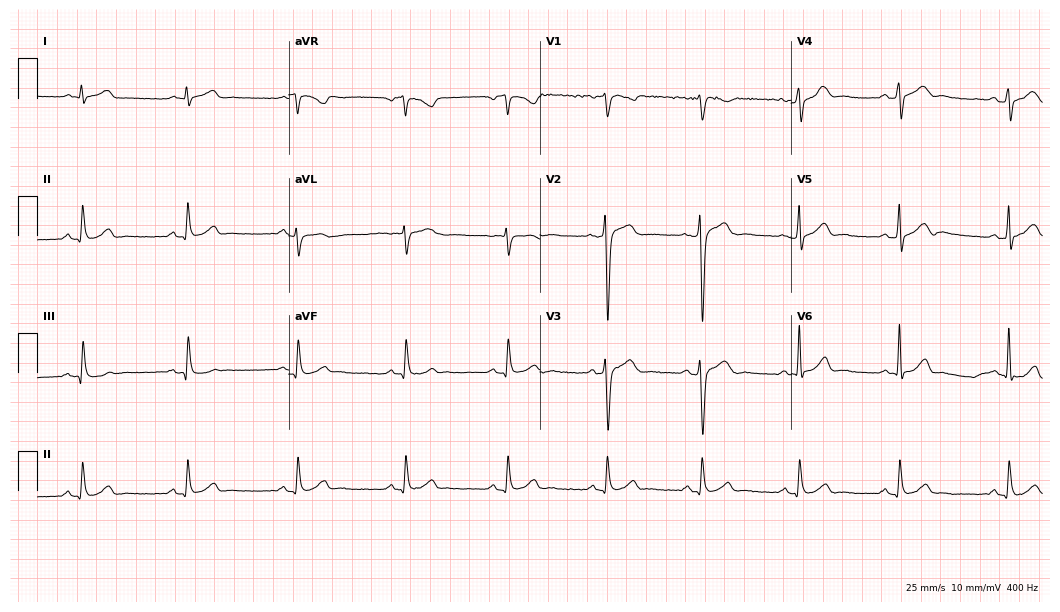
12-lead ECG from a male, 33 years old. No first-degree AV block, right bundle branch block, left bundle branch block, sinus bradycardia, atrial fibrillation or sinus tachycardia recorded for this tracing. Only these six findings were labelled.